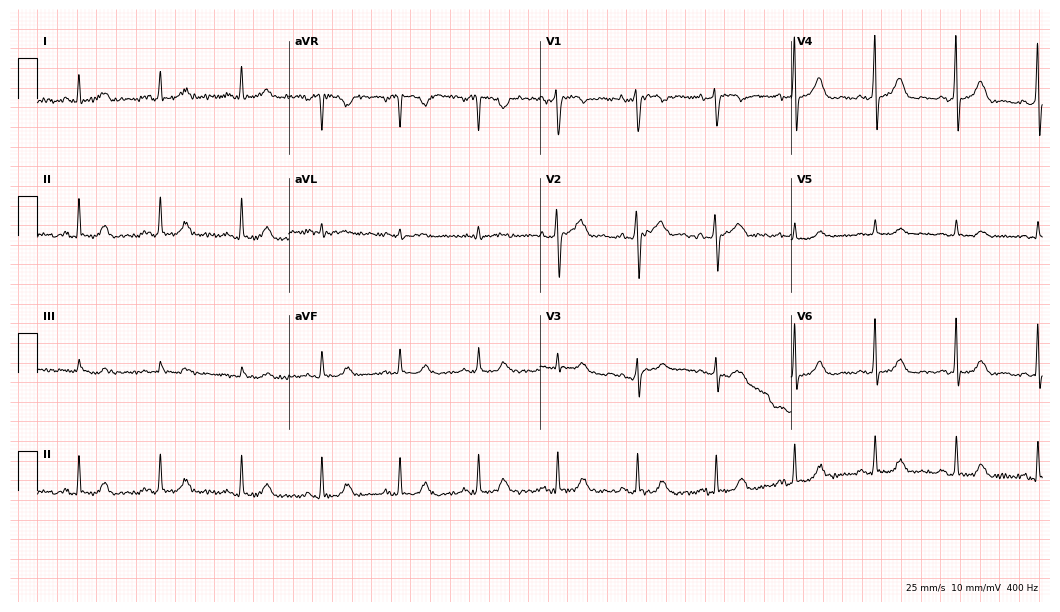
ECG (10.2-second recording at 400 Hz) — a 56-year-old female. Labelled as a normal ECG.